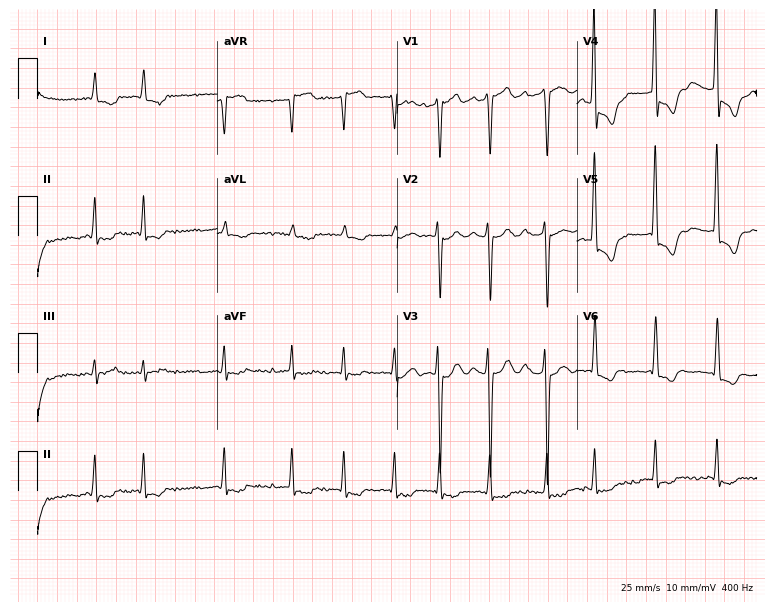
Electrocardiogram, an 81-year-old female. Interpretation includes atrial fibrillation.